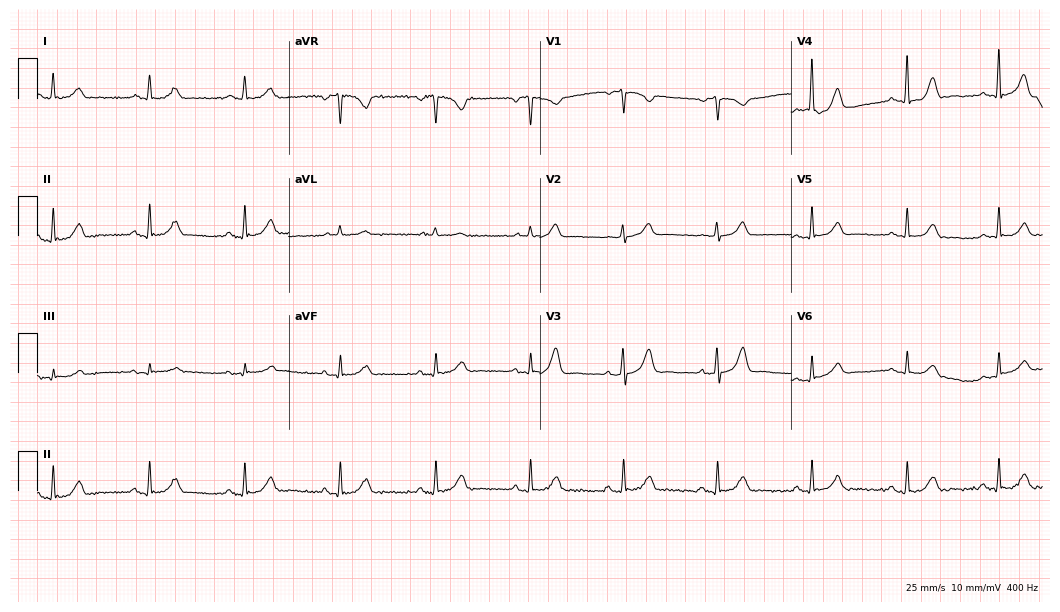
ECG (10.2-second recording at 400 Hz) — a 72-year-old female. Labelled as a normal ECG.